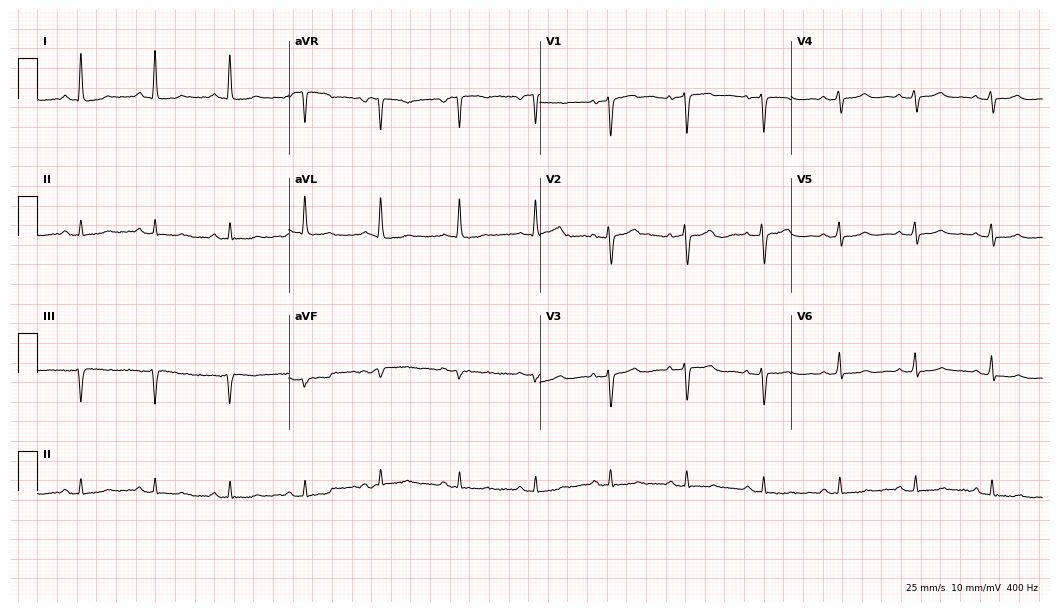
Electrocardiogram, a 49-year-old female patient. Overall reading on record: normal ECG.